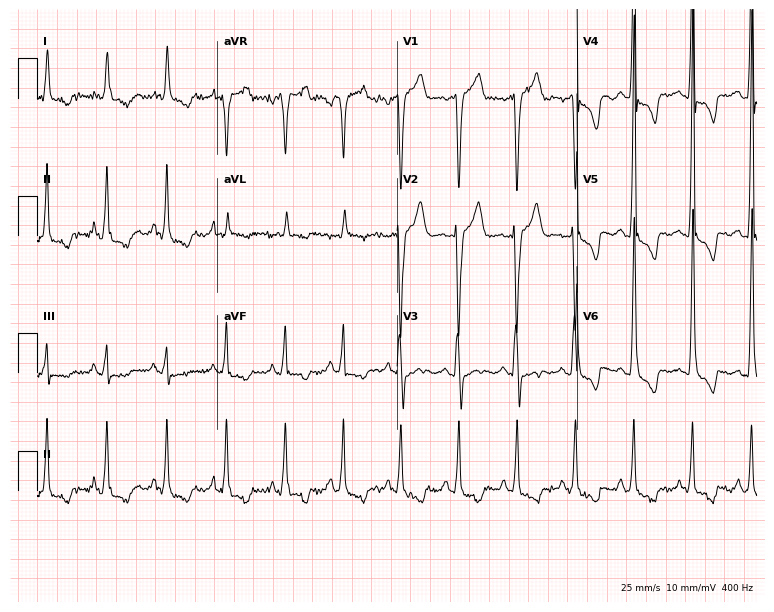
ECG (7.3-second recording at 400 Hz) — a 66-year-old male patient. Findings include sinus tachycardia (a sinus rate of 100 beats per minute or more).